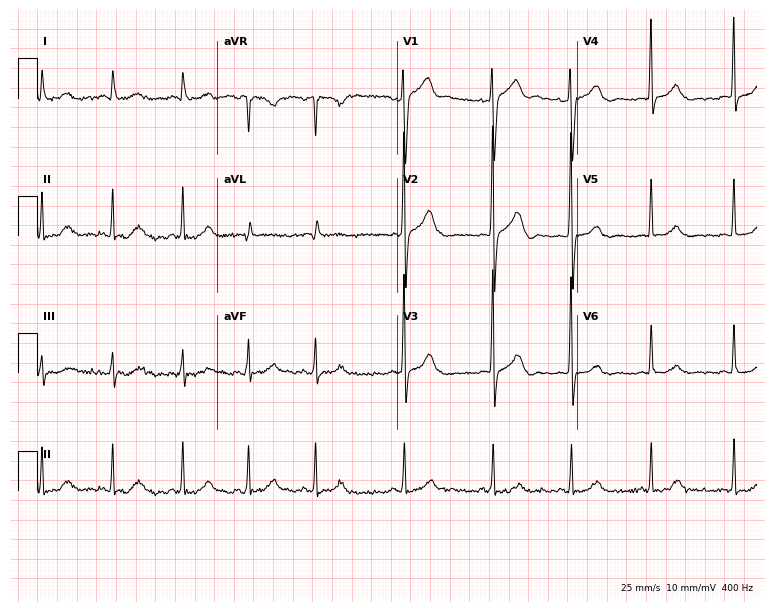
ECG (7.3-second recording at 400 Hz) — a 39-year-old man. Labelled as a normal ECG.